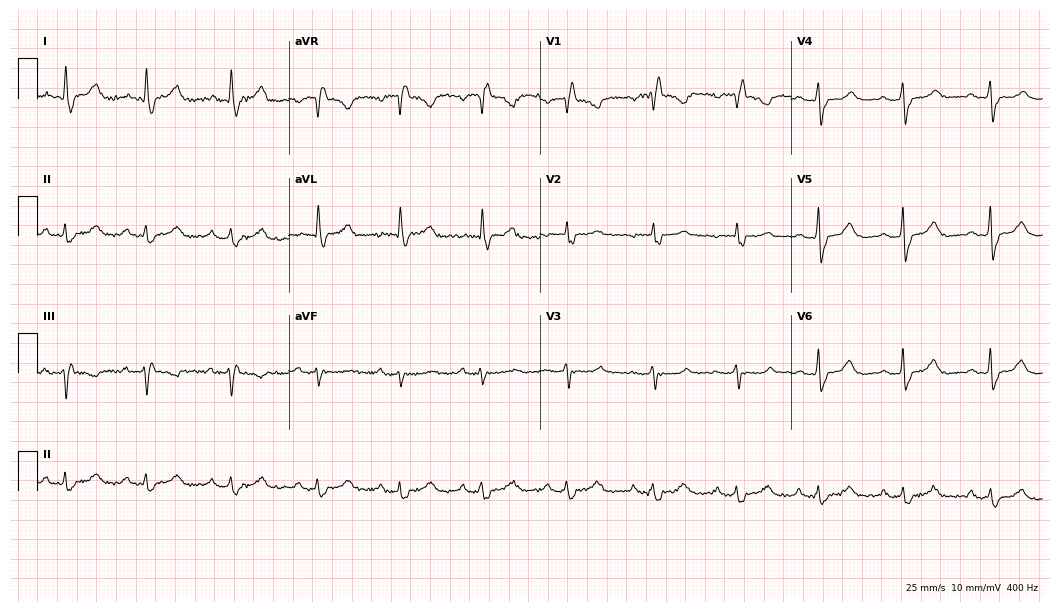
12-lead ECG from a woman, 77 years old. Screened for six findings — first-degree AV block, right bundle branch block, left bundle branch block, sinus bradycardia, atrial fibrillation, sinus tachycardia — none is recorded. Only these six findings were labelled.